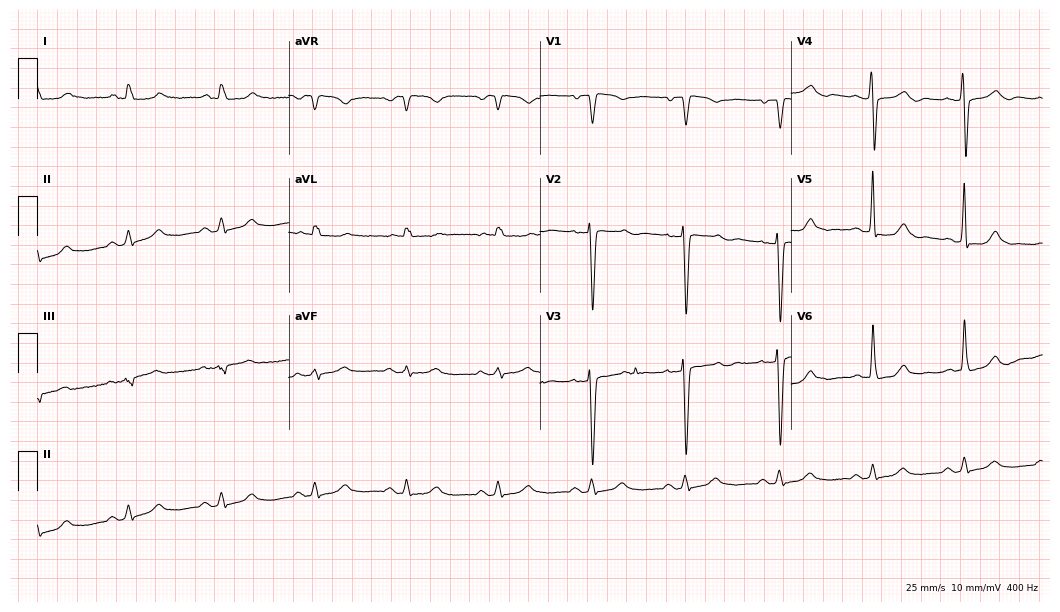
Electrocardiogram, a 50-year-old female. Of the six screened findings (first-degree AV block, right bundle branch block, left bundle branch block, sinus bradycardia, atrial fibrillation, sinus tachycardia), none is recorded.